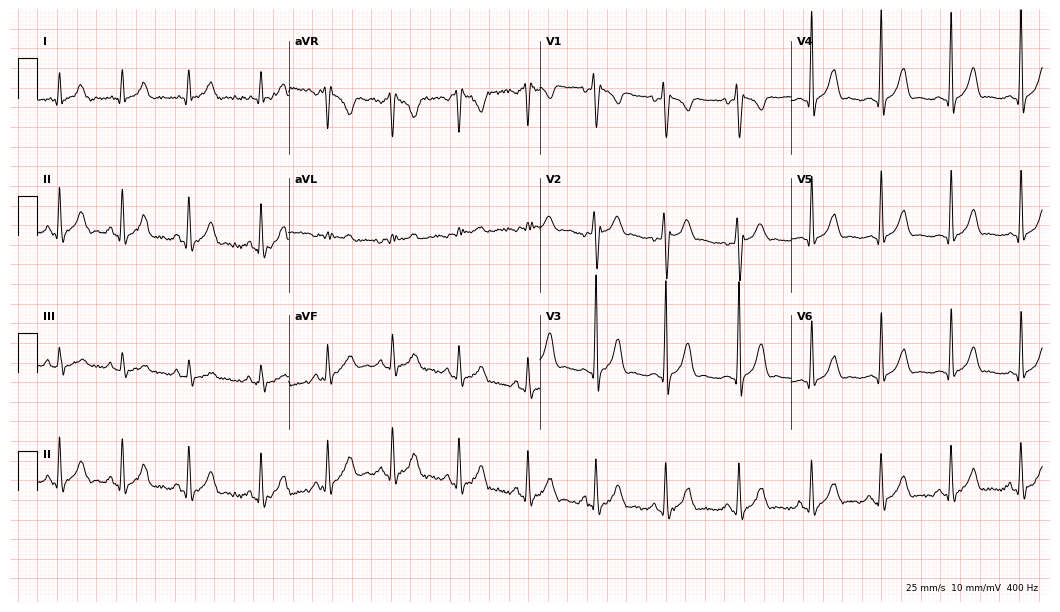
Standard 12-lead ECG recorded from a male, 19 years old (10.2-second recording at 400 Hz). Read as a normal ECG.